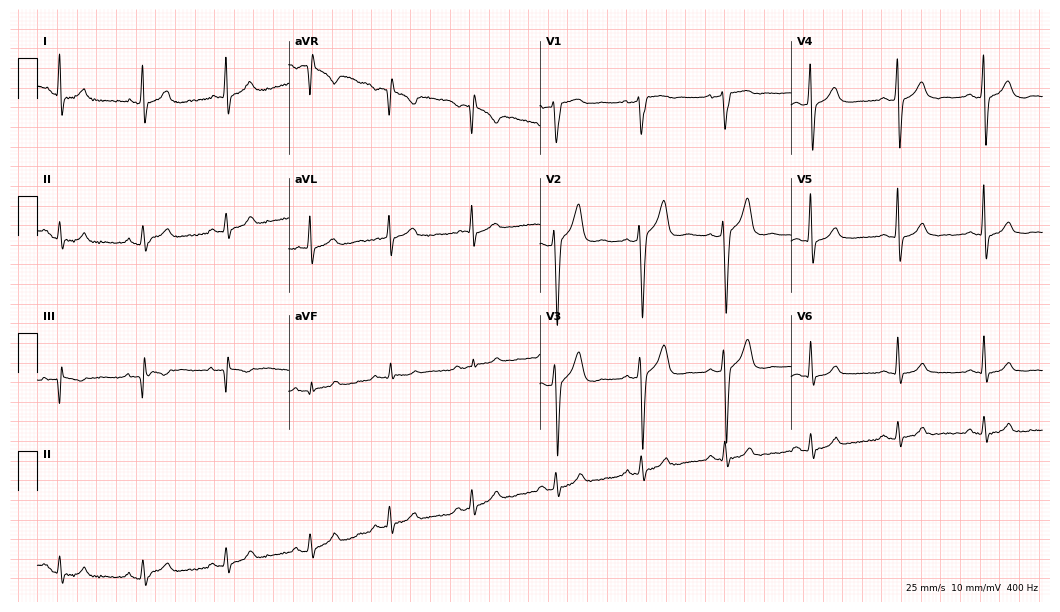
12-lead ECG from a 41-year-old man. No first-degree AV block, right bundle branch block (RBBB), left bundle branch block (LBBB), sinus bradycardia, atrial fibrillation (AF) or sinus tachycardia recorded for this tracing.